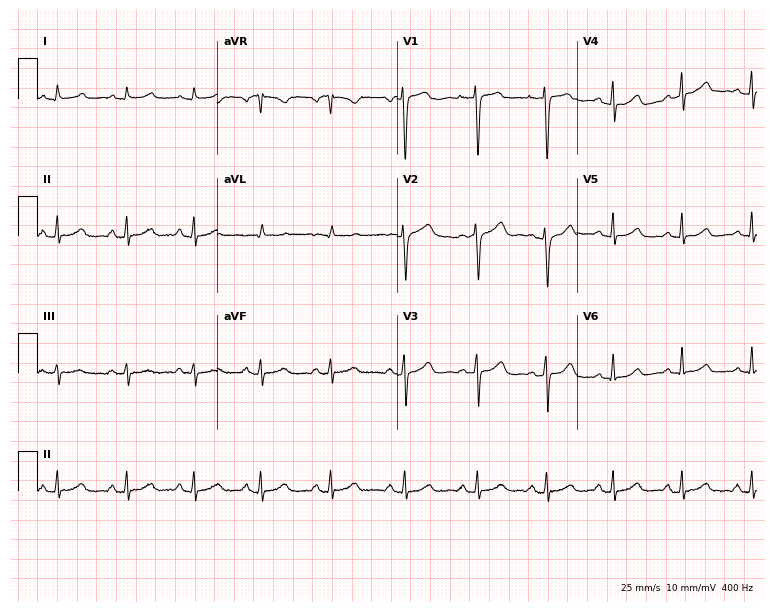
ECG (7.3-second recording at 400 Hz) — a 39-year-old female. Screened for six findings — first-degree AV block, right bundle branch block, left bundle branch block, sinus bradycardia, atrial fibrillation, sinus tachycardia — none is recorded. Findings outside these six are not listed.